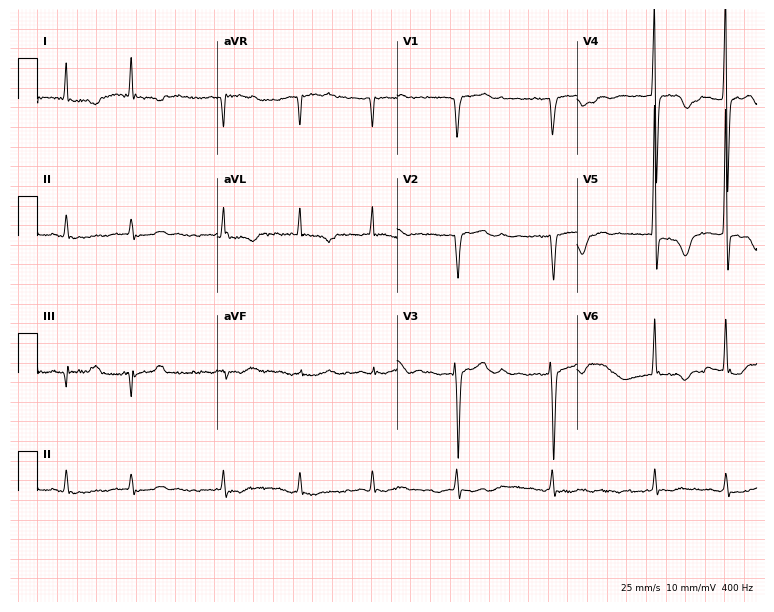
Standard 12-lead ECG recorded from a 77-year-old man. The tracing shows atrial fibrillation.